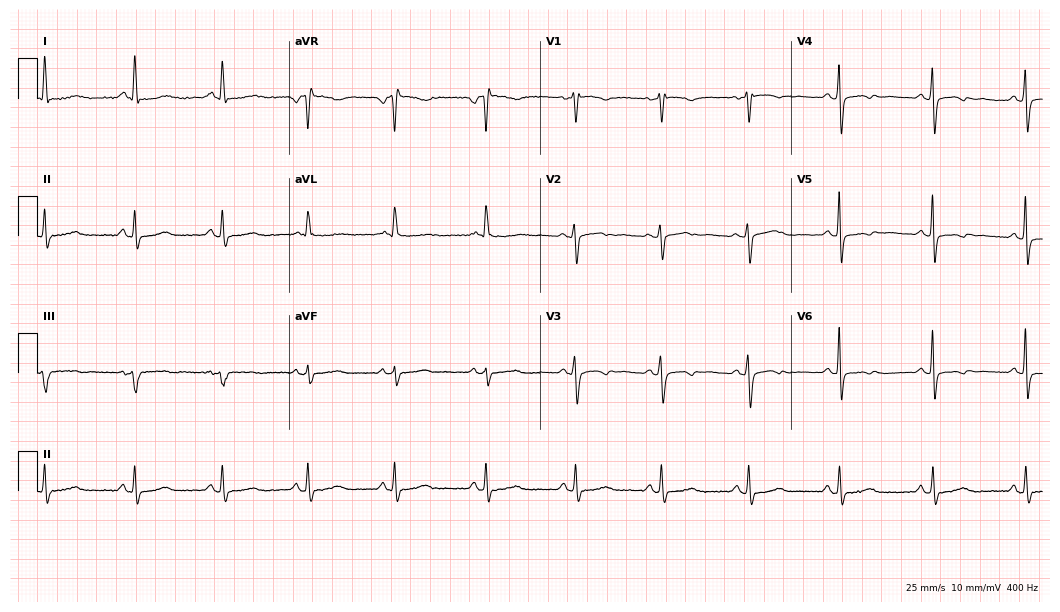
12-lead ECG from a 48-year-old female. No first-degree AV block, right bundle branch block, left bundle branch block, sinus bradycardia, atrial fibrillation or sinus tachycardia recorded for this tracing. Findings outside these six are not listed.